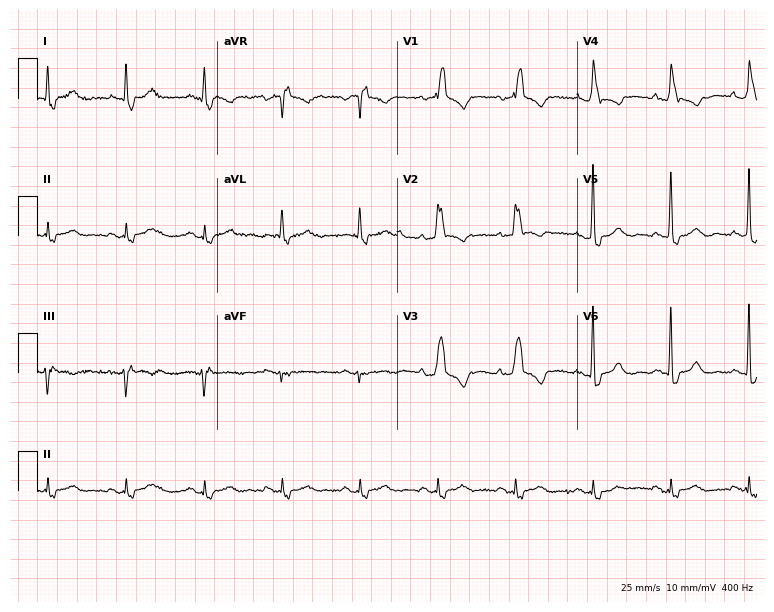
ECG (7.3-second recording at 400 Hz) — a female, 75 years old. Findings include right bundle branch block (RBBB).